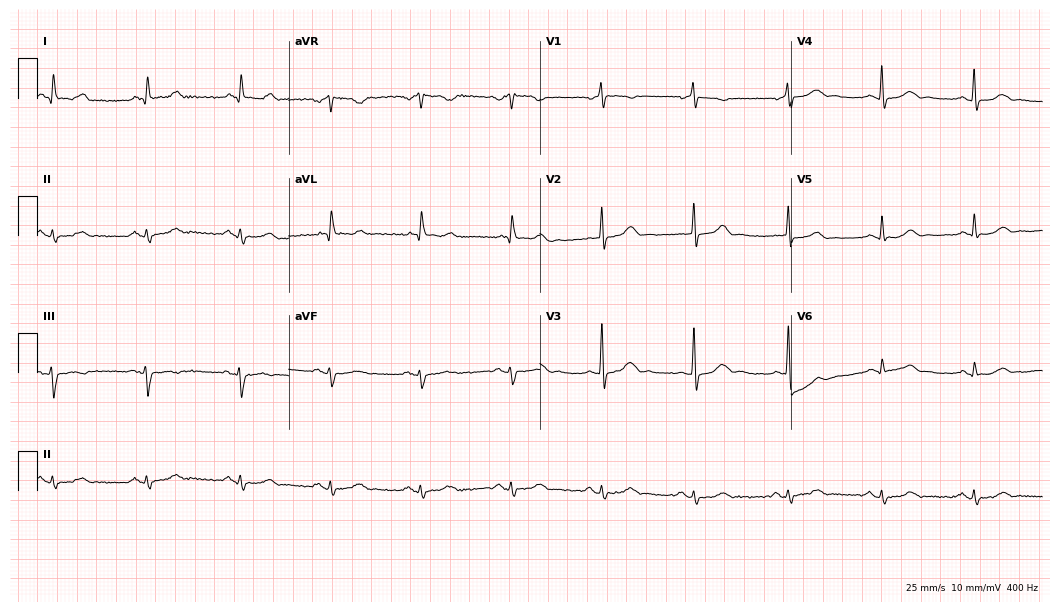
Resting 12-lead electrocardiogram (10.2-second recording at 400 Hz). Patient: a male, 68 years old. Read as a normal ECG.